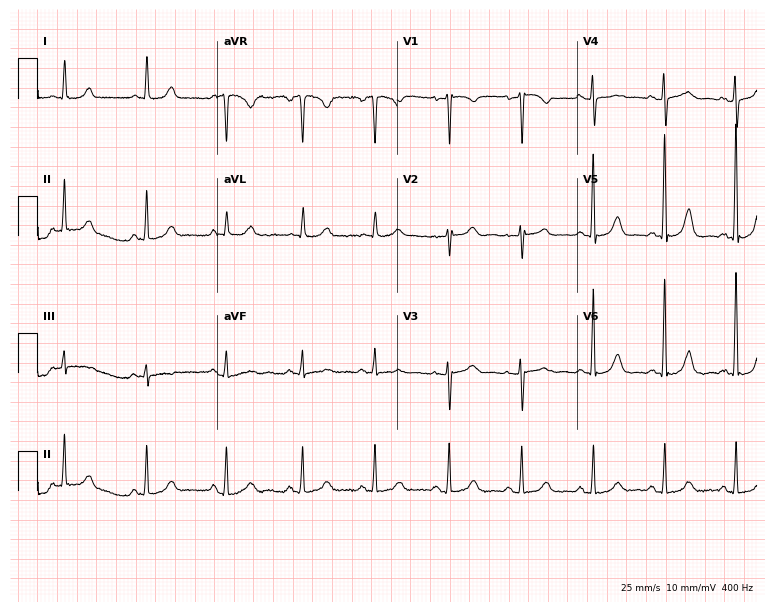
12-lead ECG from a woman, 67 years old (7.3-second recording at 400 Hz). No first-degree AV block, right bundle branch block, left bundle branch block, sinus bradycardia, atrial fibrillation or sinus tachycardia recorded for this tracing.